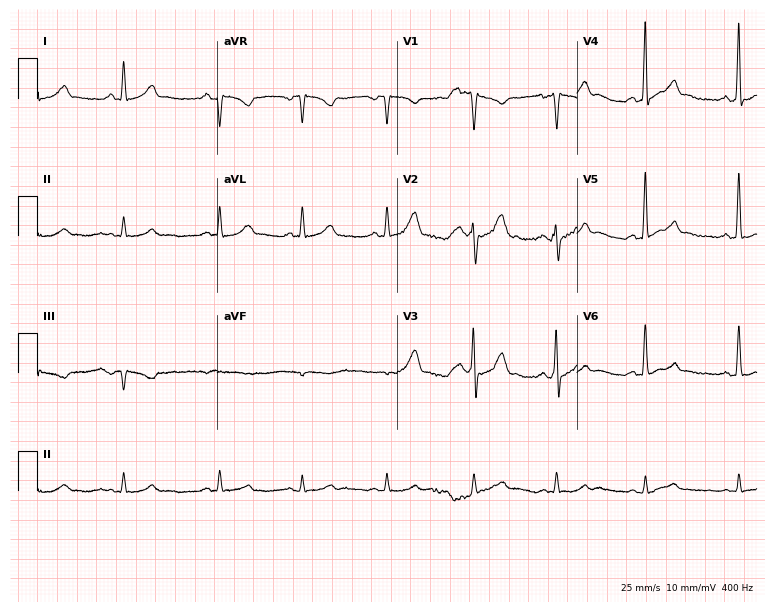
Resting 12-lead electrocardiogram. Patient: a 32-year-old male. Read as a normal ECG.